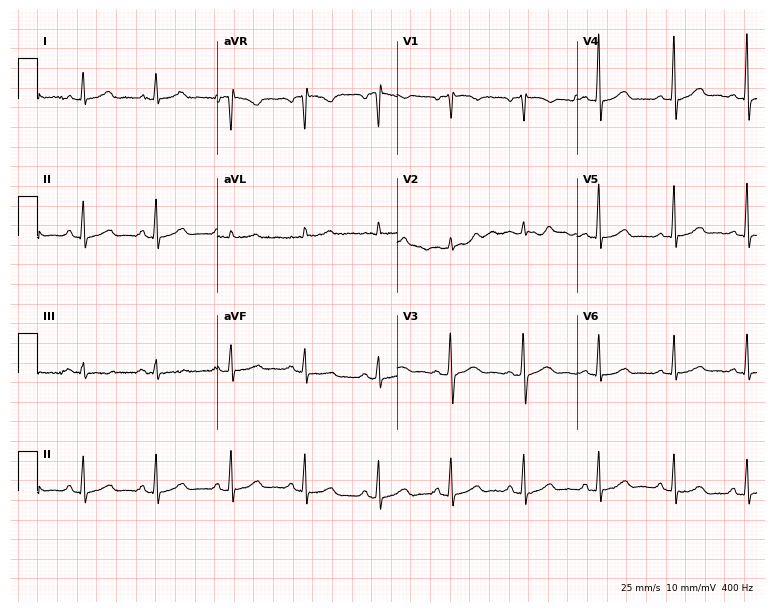
12-lead ECG from a 60-year-old female patient (7.3-second recording at 400 Hz). Recorded interpretation: within normal limits.